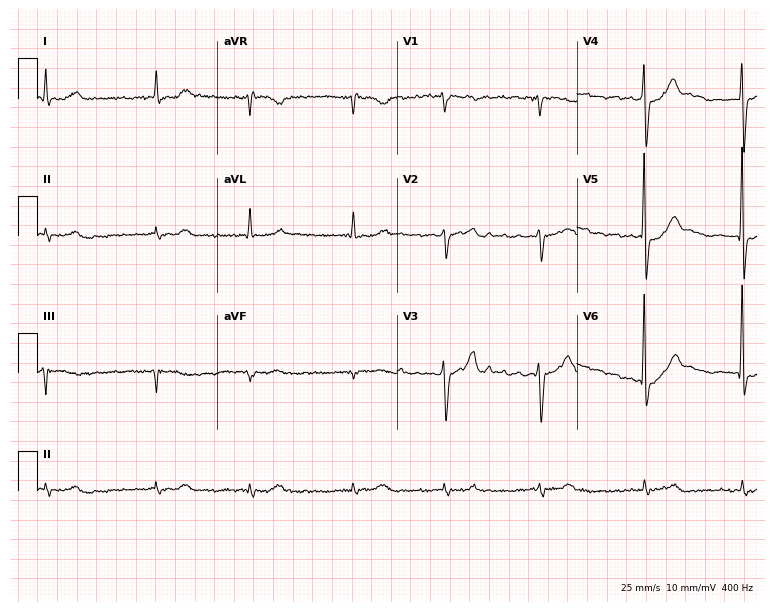
Electrocardiogram, a 79-year-old man. Interpretation includes atrial fibrillation.